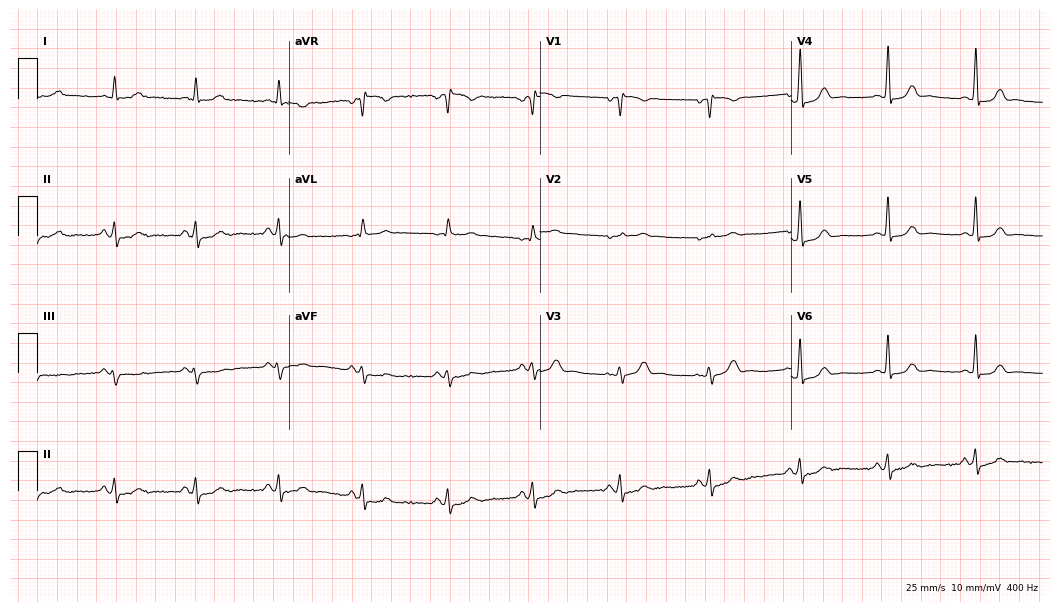
12-lead ECG (10.2-second recording at 400 Hz) from a 23-year-old woman. Screened for six findings — first-degree AV block, right bundle branch block (RBBB), left bundle branch block (LBBB), sinus bradycardia, atrial fibrillation (AF), sinus tachycardia — none is recorded.